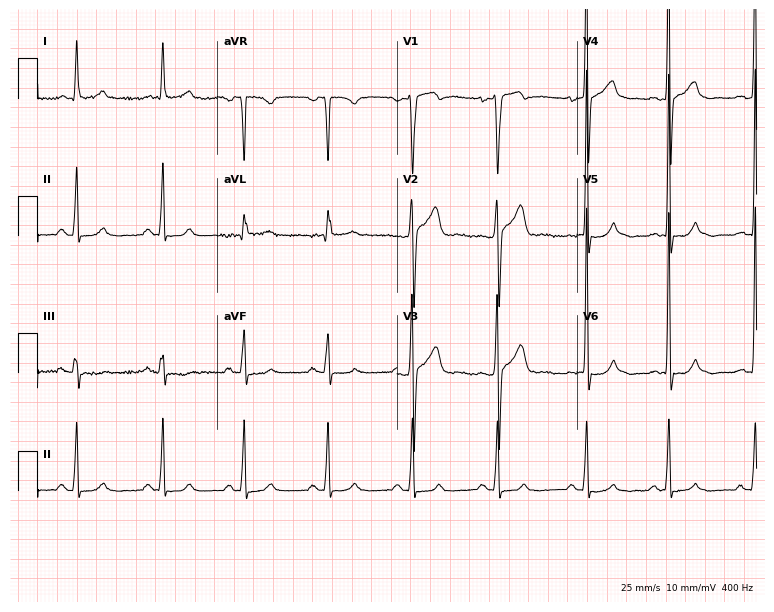
Resting 12-lead electrocardiogram (7.3-second recording at 400 Hz). Patient: a 38-year-old man. None of these six findings is recorded: first-degree AV block, right bundle branch block, left bundle branch block, sinus bradycardia, atrial fibrillation, sinus tachycardia. Only these six findings were labelled.